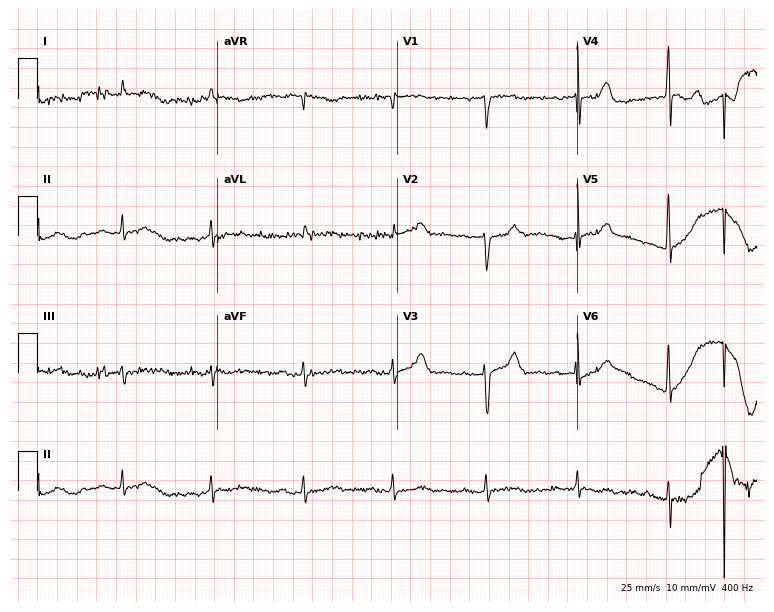
12-lead ECG from a male, 83 years old (7.3-second recording at 400 Hz). No first-degree AV block, right bundle branch block (RBBB), left bundle branch block (LBBB), sinus bradycardia, atrial fibrillation (AF) or sinus tachycardia recorded for this tracing.